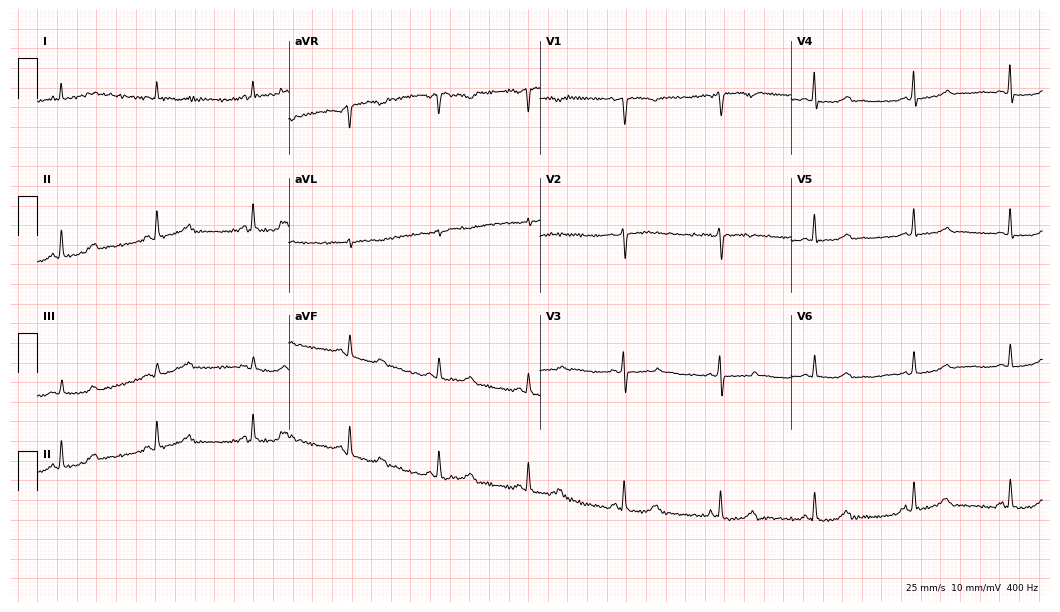
ECG (10.2-second recording at 400 Hz) — a 39-year-old woman. Screened for six findings — first-degree AV block, right bundle branch block, left bundle branch block, sinus bradycardia, atrial fibrillation, sinus tachycardia — none is recorded. Only these six findings were labelled.